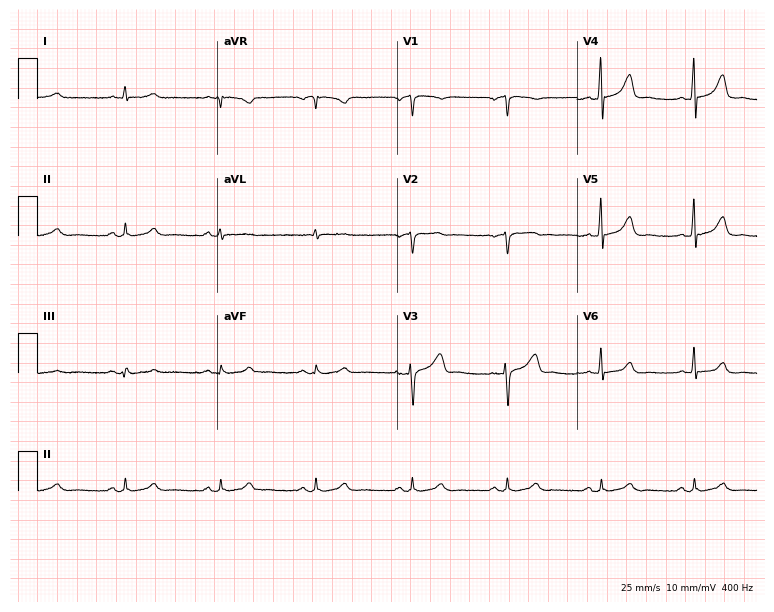
Resting 12-lead electrocardiogram. Patient: a 68-year-old male. None of these six findings is recorded: first-degree AV block, right bundle branch block, left bundle branch block, sinus bradycardia, atrial fibrillation, sinus tachycardia.